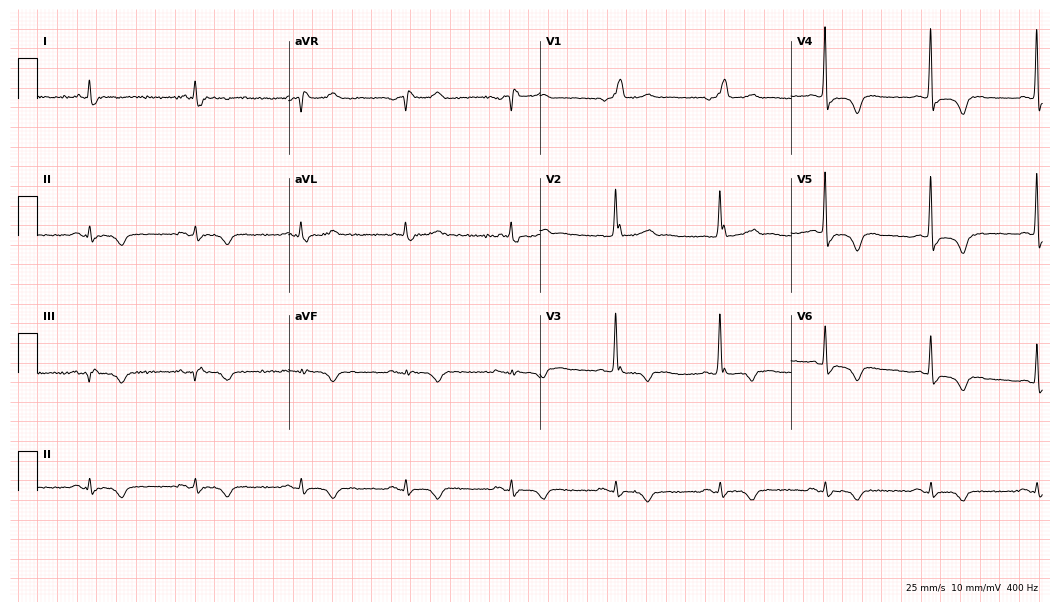
12-lead ECG from a 79-year-old male (10.2-second recording at 400 Hz). No first-degree AV block, right bundle branch block, left bundle branch block, sinus bradycardia, atrial fibrillation or sinus tachycardia recorded for this tracing. Findings outside these six are not listed.